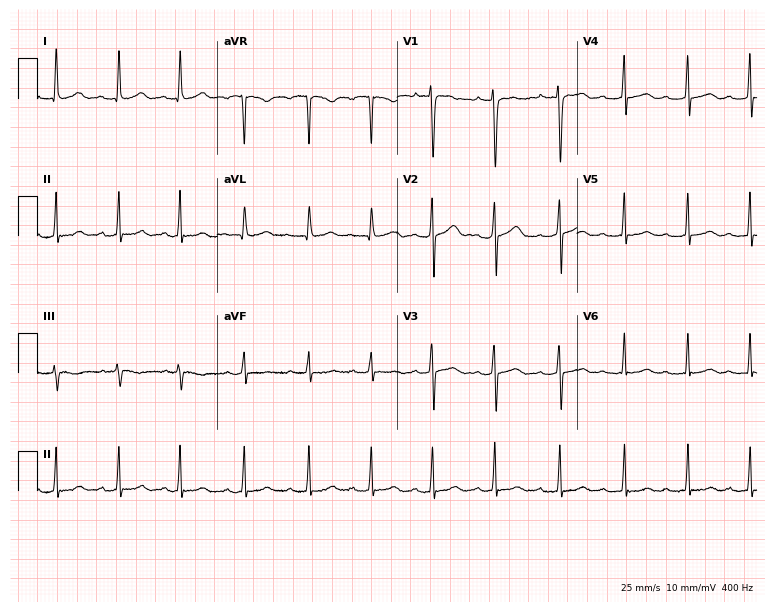
Electrocardiogram, a 19-year-old female. Of the six screened findings (first-degree AV block, right bundle branch block, left bundle branch block, sinus bradycardia, atrial fibrillation, sinus tachycardia), none is recorded. Other findings, if any, are not listed.